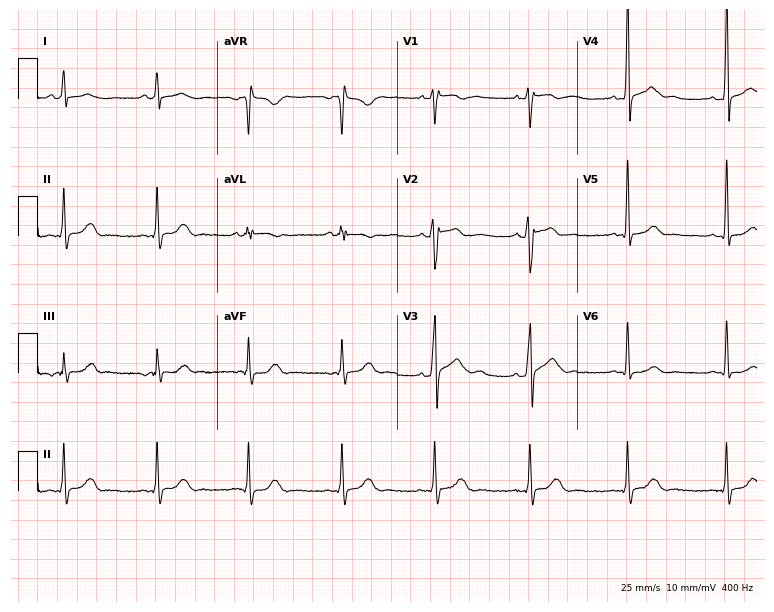
ECG — a 29-year-old man. Labelled as a normal ECG.